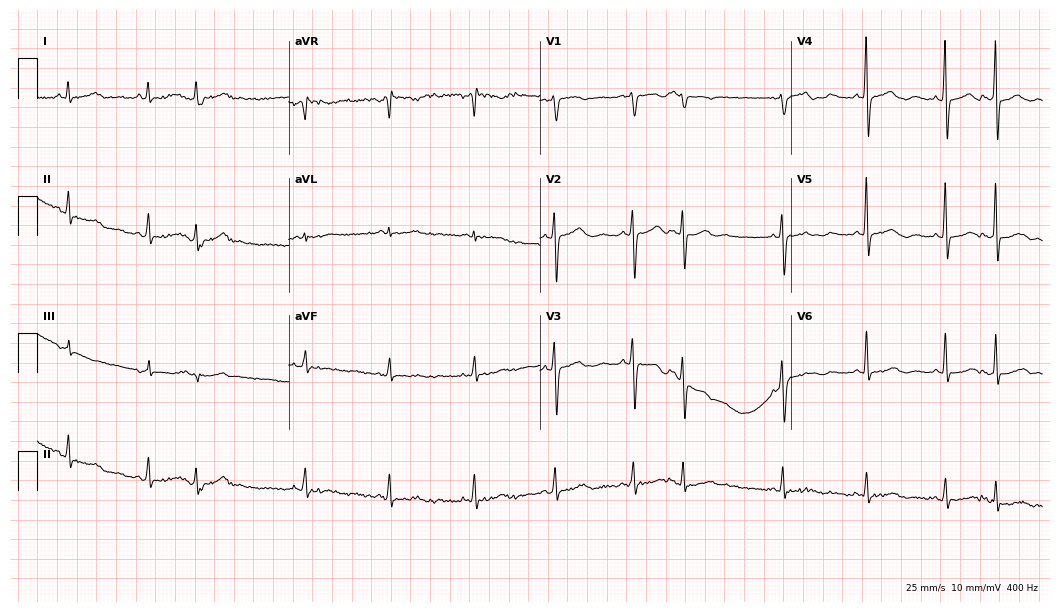
12-lead ECG from a woman, 75 years old. No first-degree AV block, right bundle branch block (RBBB), left bundle branch block (LBBB), sinus bradycardia, atrial fibrillation (AF) or sinus tachycardia recorded for this tracing. Other findings, if any, are not listed.